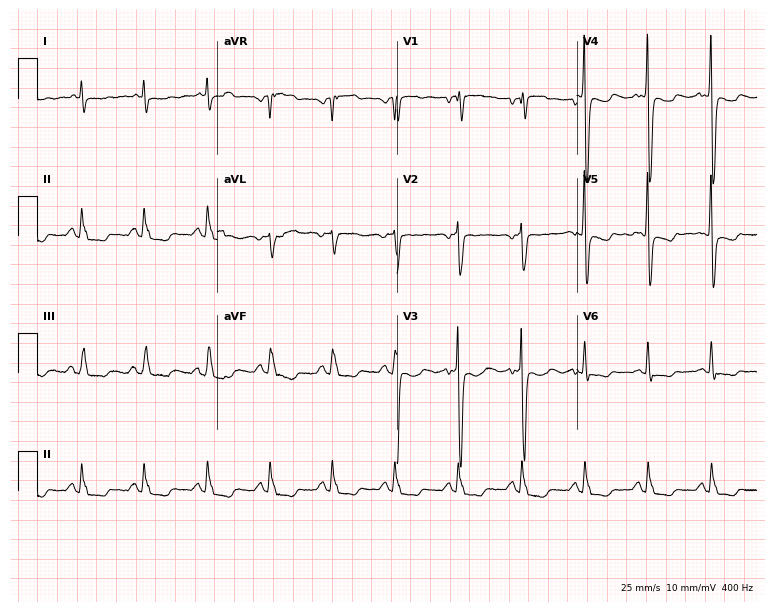
12-lead ECG (7.3-second recording at 400 Hz) from a 54-year-old male. Screened for six findings — first-degree AV block, right bundle branch block (RBBB), left bundle branch block (LBBB), sinus bradycardia, atrial fibrillation (AF), sinus tachycardia — none is recorded. Other findings, if any, are not listed.